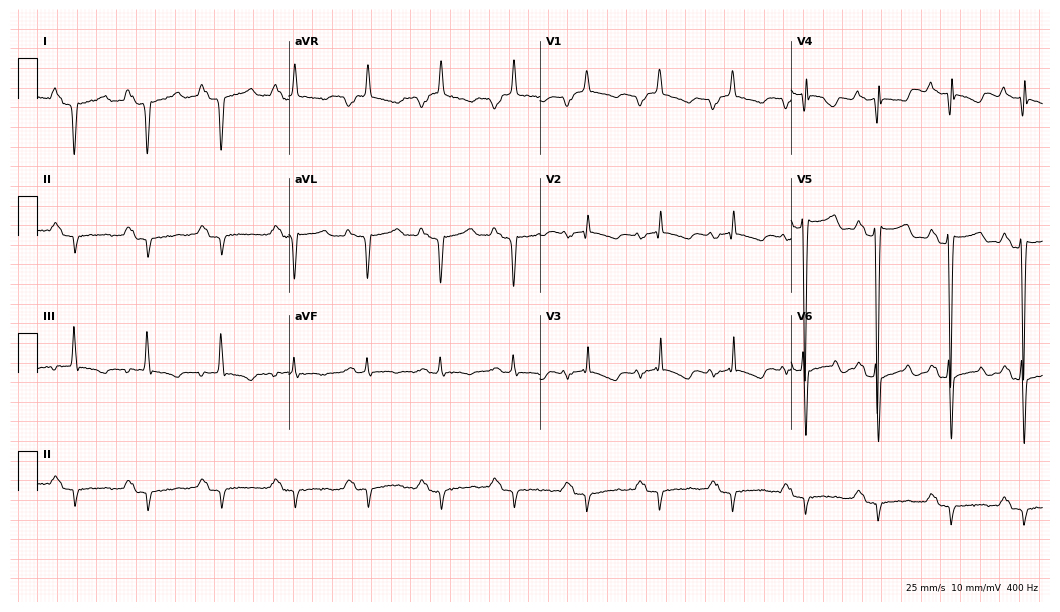
12-lead ECG from a woman, 42 years old (10.2-second recording at 400 Hz). Shows first-degree AV block.